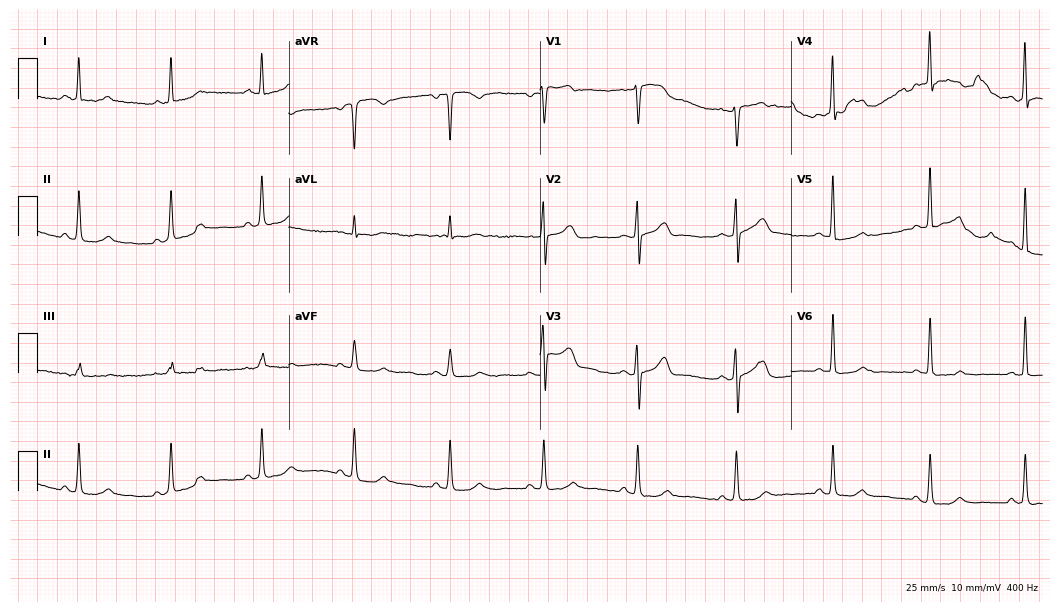
12-lead ECG (10.2-second recording at 400 Hz) from a female patient, 40 years old. Labelled as a normal ECG.